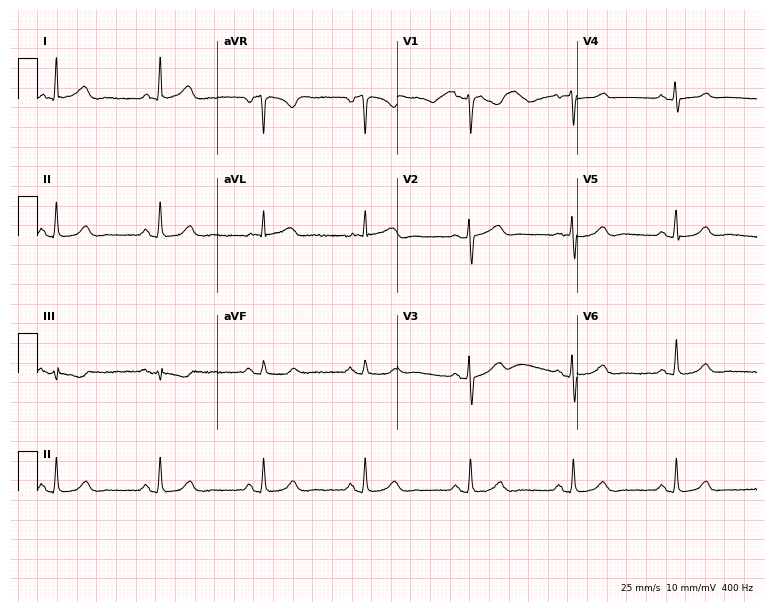
Resting 12-lead electrocardiogram. Patient: a 74-year-old woman. Read as a normal ECG.